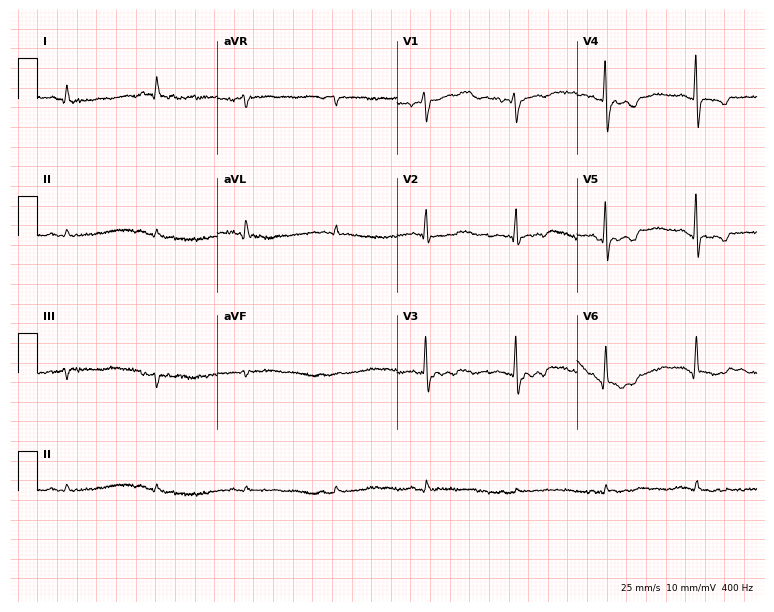
Standard 12-lead ECG recorded from a 77-year-old man (7.3-second recording at 400 Hz). None of these six findings is recorded: first-degree AV block, right bundle branch block, left bundle branch block, sinus bradycardia, atrial fibrillation, sinus tachycardia.